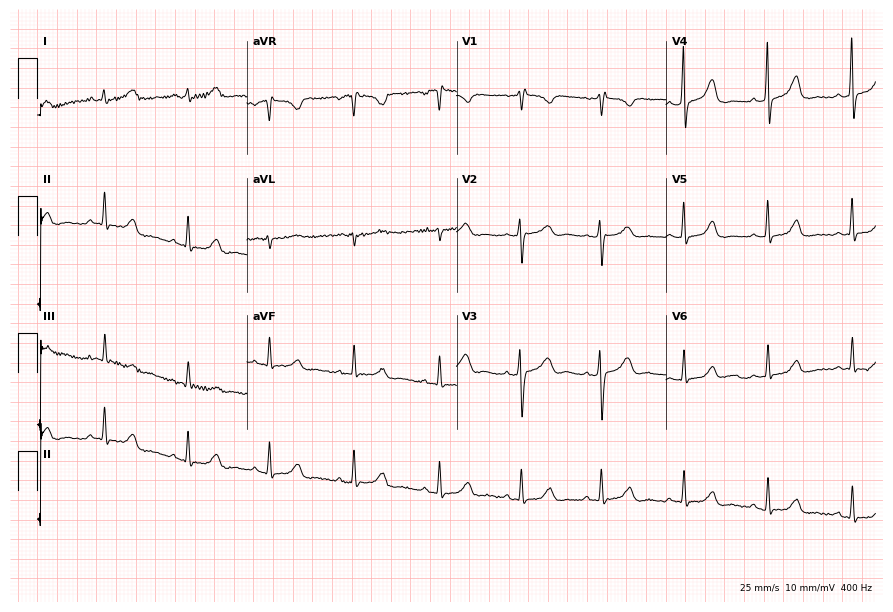
12-lead ECG from a 38-year-old female. No first-degree AV block, right bundle branch block, left bundle branch block, sinus bradycardia, atrial fibrillation or sinus tachycardia recorded for this tracing. Only these six findings were labelled.